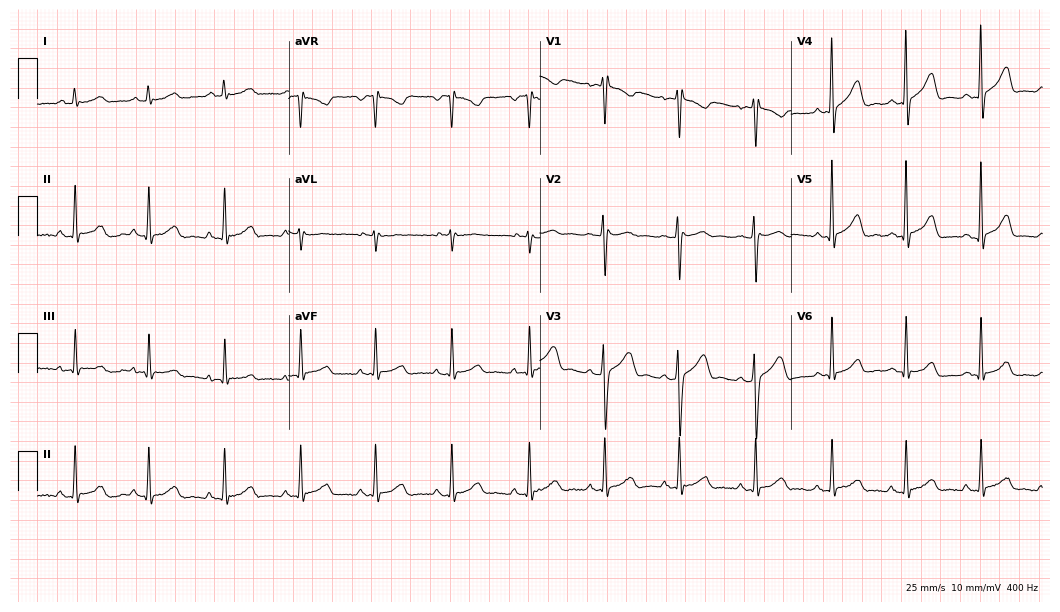
Standard 12-lead ECG recorded from a 26-year-old man. None of these six findings is recorded: first-degree AV block, right bundle branch block, left bundle branch block, sinus bradycardia, atrial fibrillation, sinus tachycardia. Only these six findings were labelled.